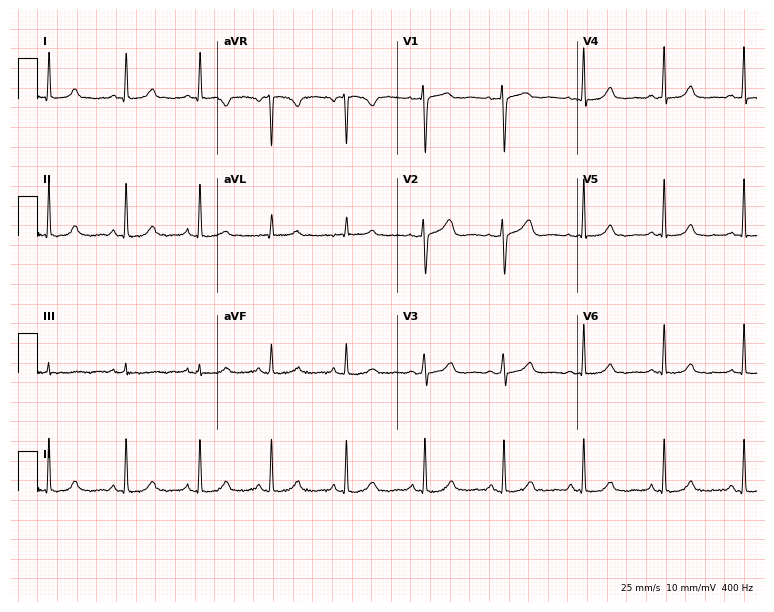
Resting 12-lead electrocardiogram. Patient: a female, 45 years old. None of these six findings is recorded: first-degree AV block, right bundle branch block, left bundle branch block, sinus bradycardia, atrial fibrillation, sinus tachycardia. Findings outside these six are not listed.